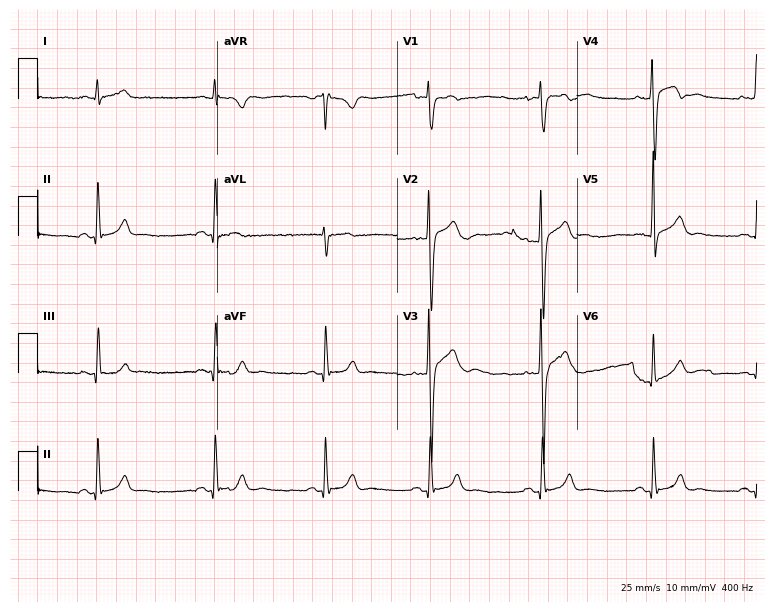
Standard 12-lead ECG recorded from a 25-year-old man (7.3-second recording at 400 Hz). Read as a normal ECG.